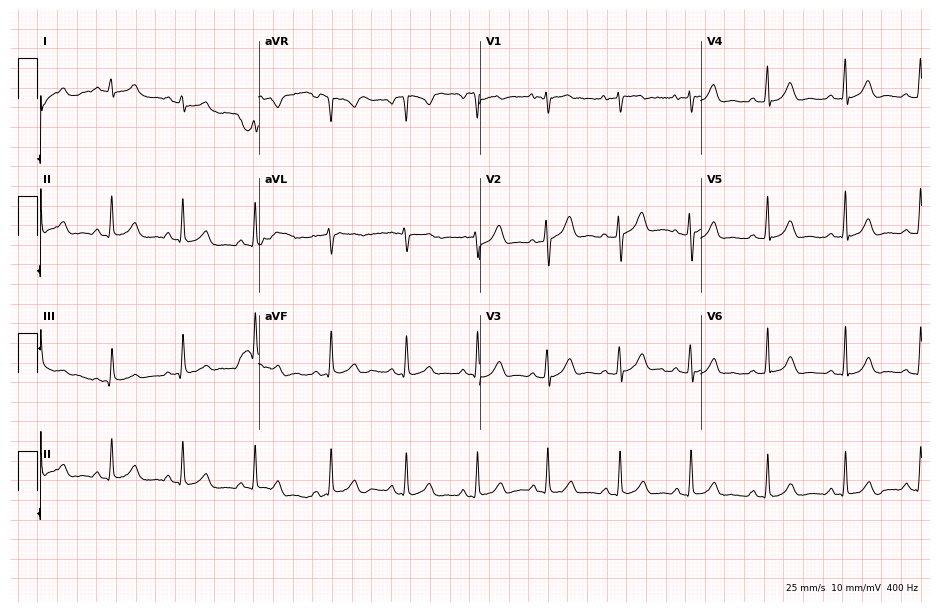
Standard 12-lead ECG recorded from a 22-year-old female patient (9-second recording at 400 Hz). Read as a normal ECG.